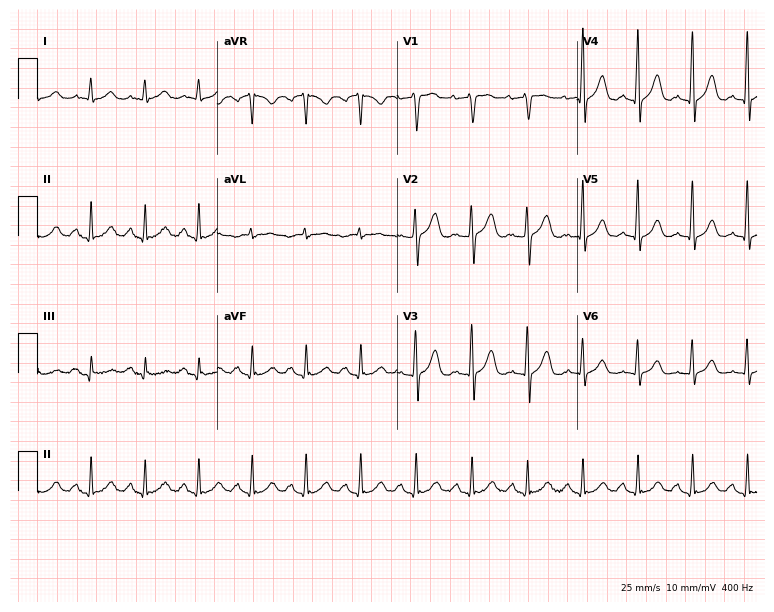
12-lead ECG from a 46-year-old male. Findings include sinus tachycardia (a sinus rate of 100 beats per minute or more).